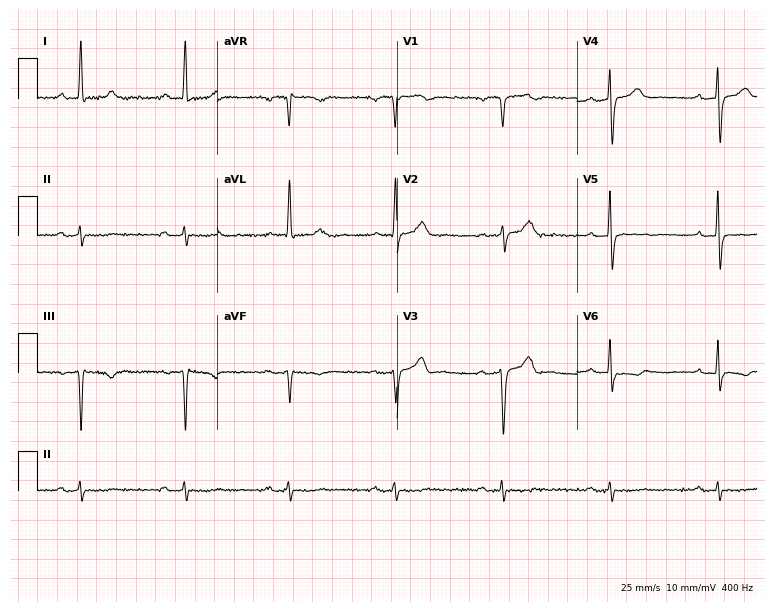
Resting 12-lead electrocardiogram (7.3-second recording at 400 Hz). Patient: a male, 79 years old. None of these six findings is recorded: first-degree AV block, right bundle branch block (RBBB), left bundle branch block (LBBB), sinus bradycardia, atrial fibrillation (AF), sinus tachycardia.